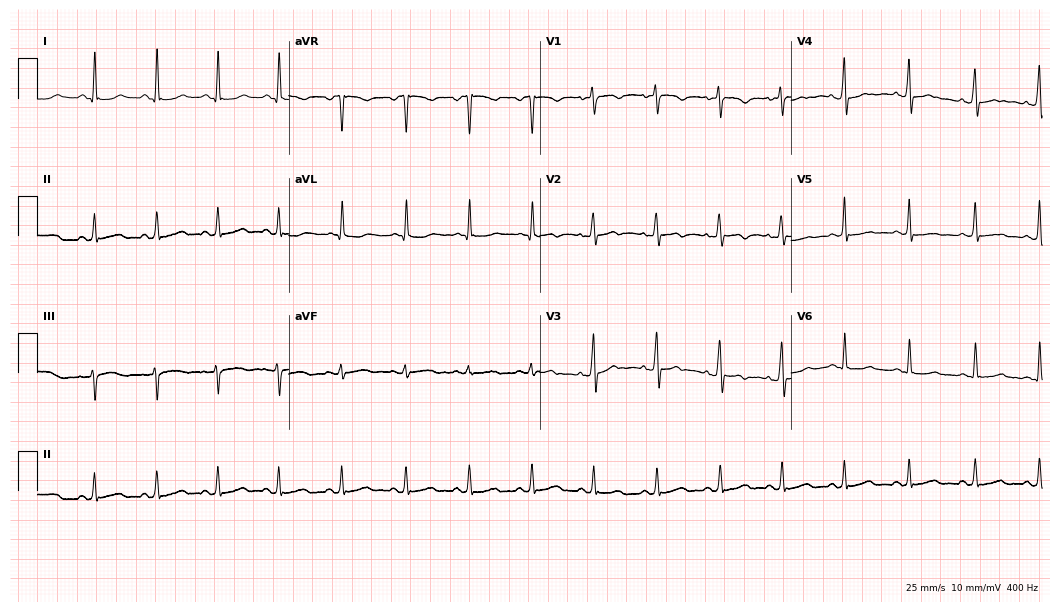
12-lead ECG (10.2-second recording at 400 Hz) from a female patient, 29 years old. Labelled as a normal ECG.